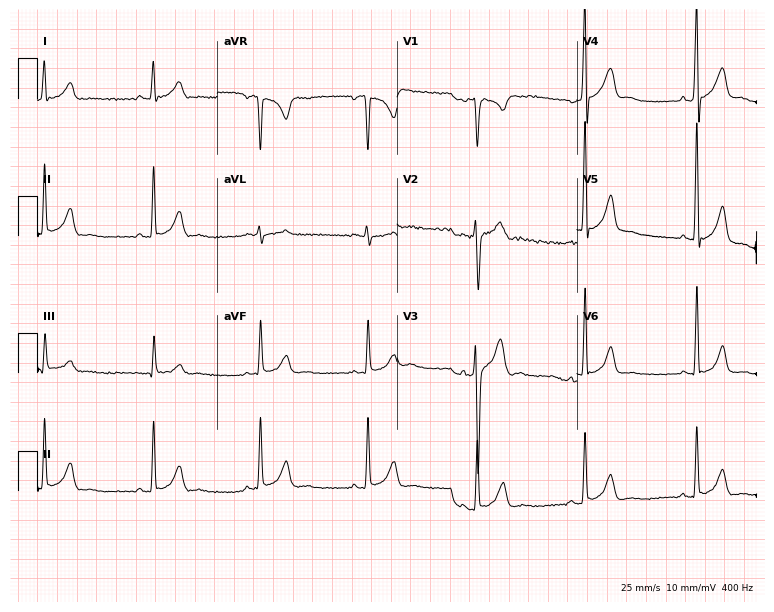
ECG — a 33-year-old male. Screened for six findings — first-degree AV block, right bundle branch block, left bundle branch block, sinus bradycardia, atrial fibrillation, sinus tachycardia — none is recorded.